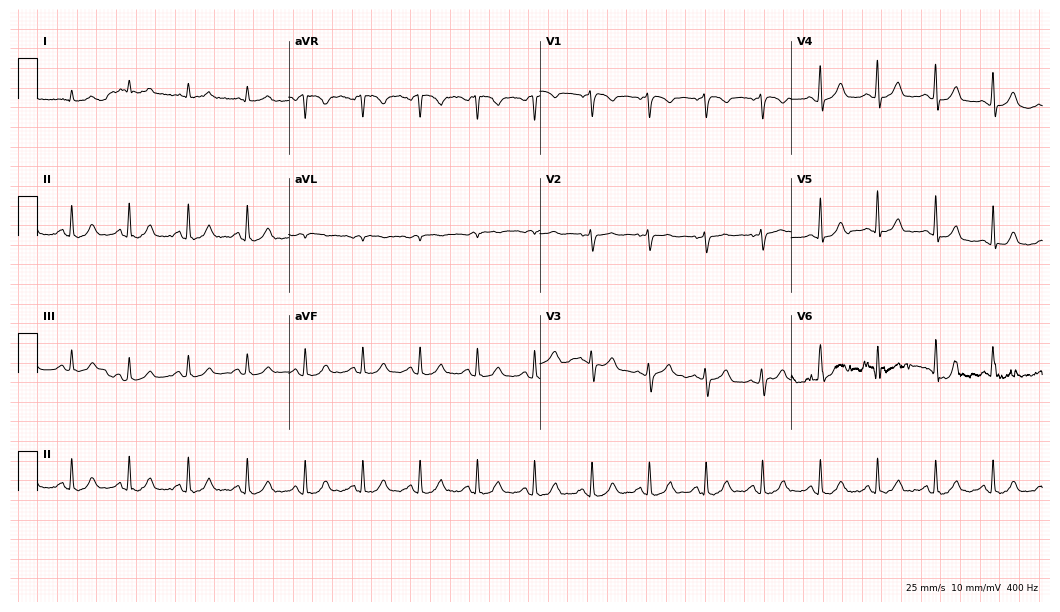
12-lead ECG from a 78-year-old male patient. Shows sinus tachycardia (a sinus rate of 100 beats per minute or more).